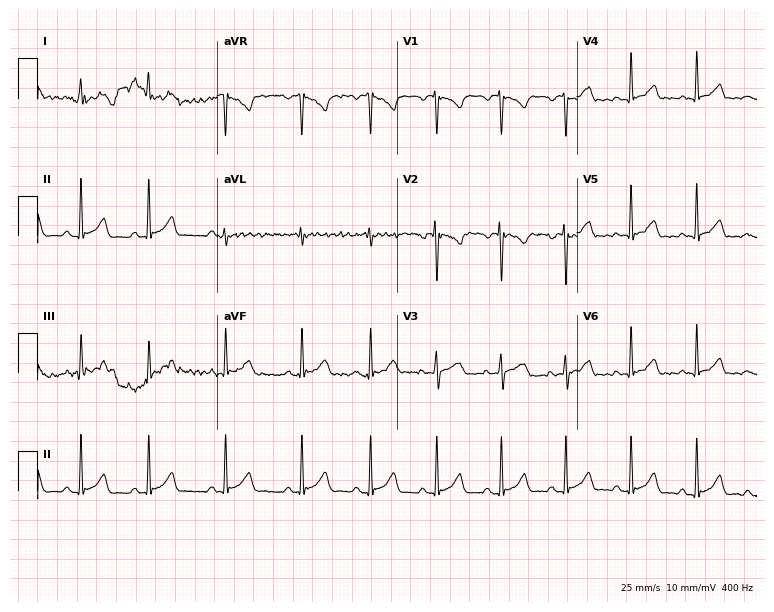
12-lead ECG from a man, 21 years old. Recorded interpretation: within normal limits.